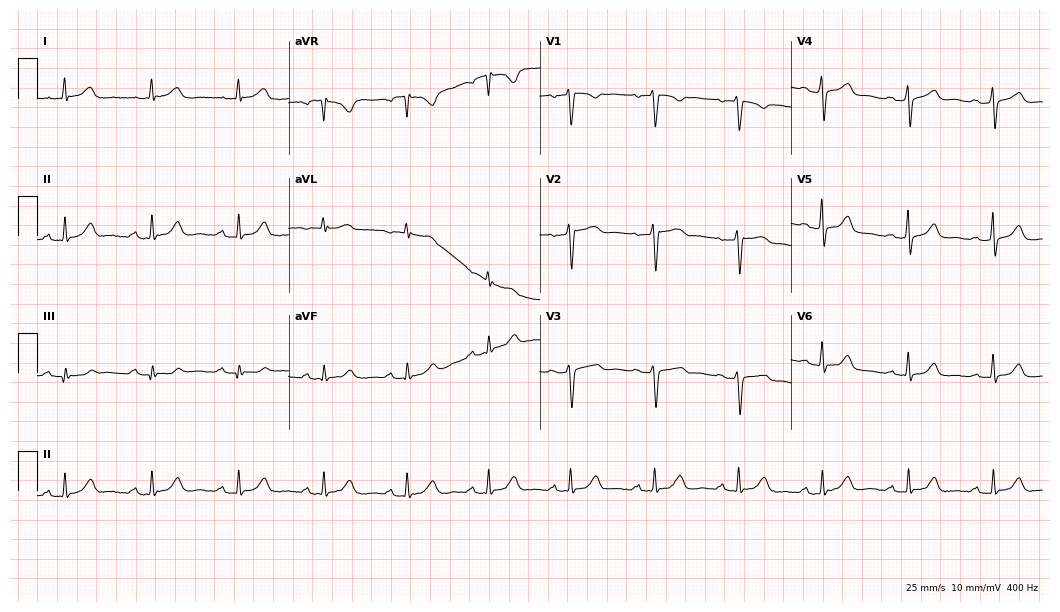
Electrocardiogram, a female patient, 47 years old. Overall reading on record: normal ECG.